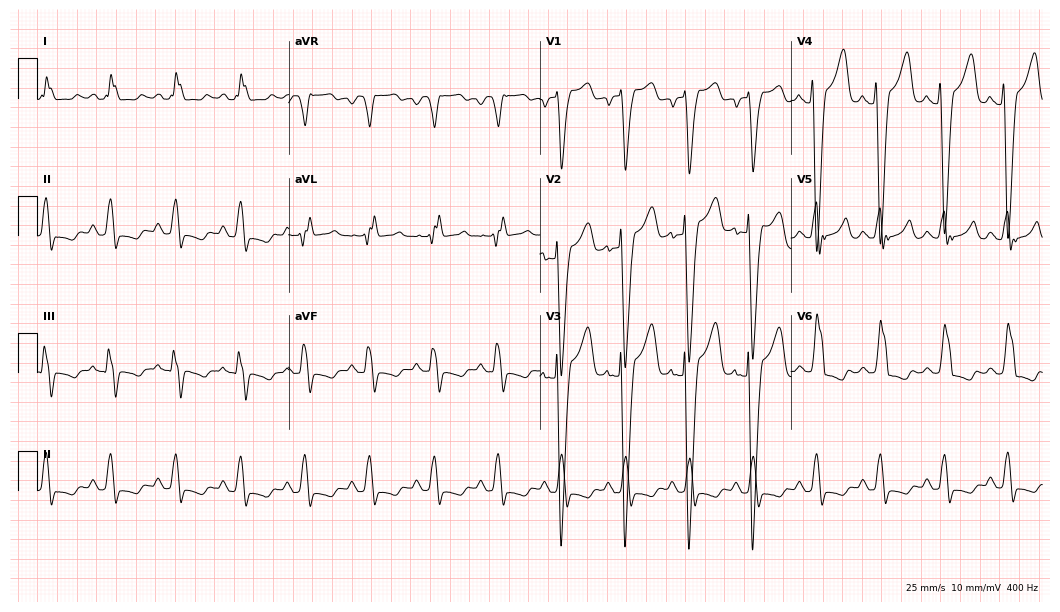
Standard 12-lead ECG recorded from a woman, 52 years old (10.2-second recording at 400 Hz). The tracing shows left bundle branch block.